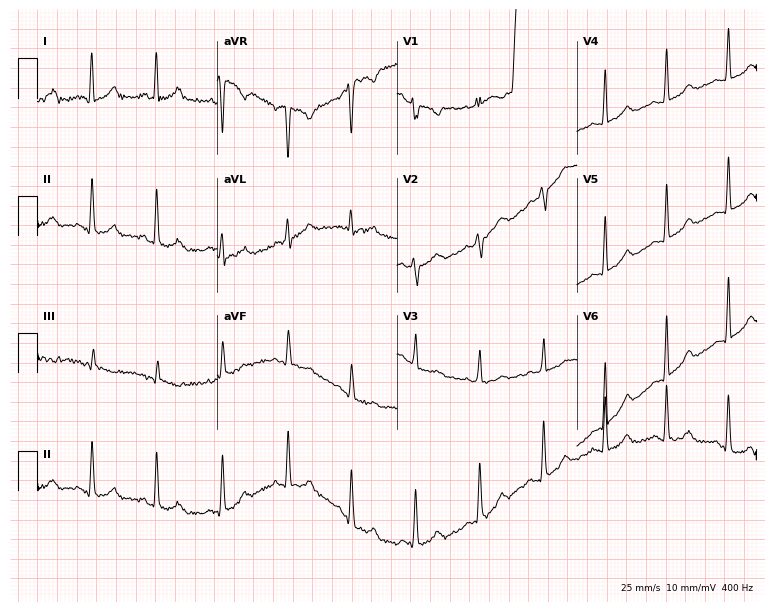
12-lead ECG (7.3-second recording at 400 Hz) from a 21-year-old female patient. Screened for six findings — first-degree AV block, right bundle branch block (RBBB), left bundle branch block (LBBB), sinus bradycardia, atrial fibrillation (AF), sinus tachycardia — none is recorded.